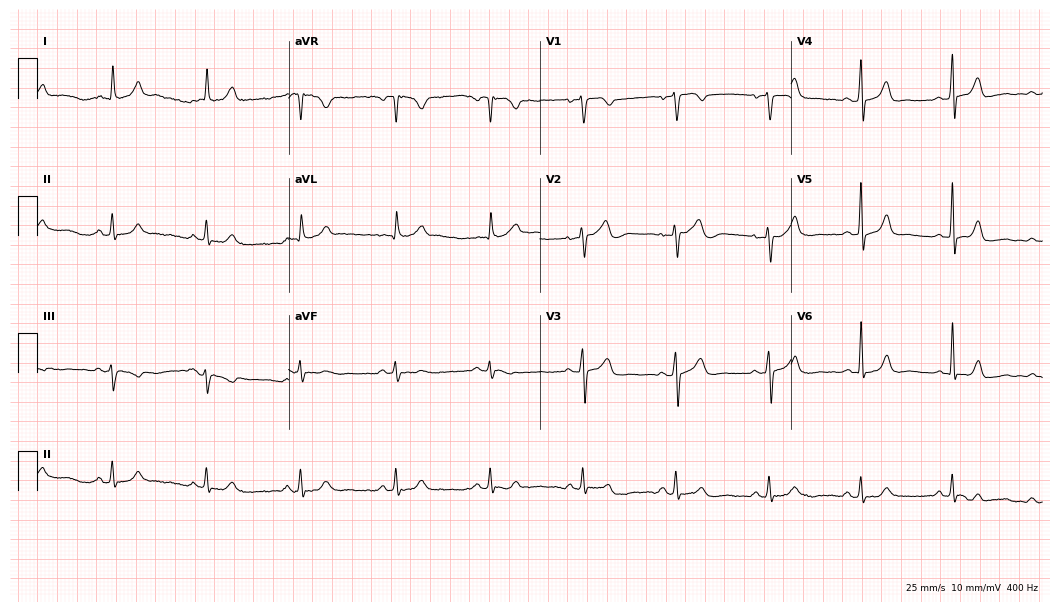
Resting 12-lead electrocardiogram (10.2-second recording at 400 Hz). Patient: a man, 61 years old. Read as a normal ECG.